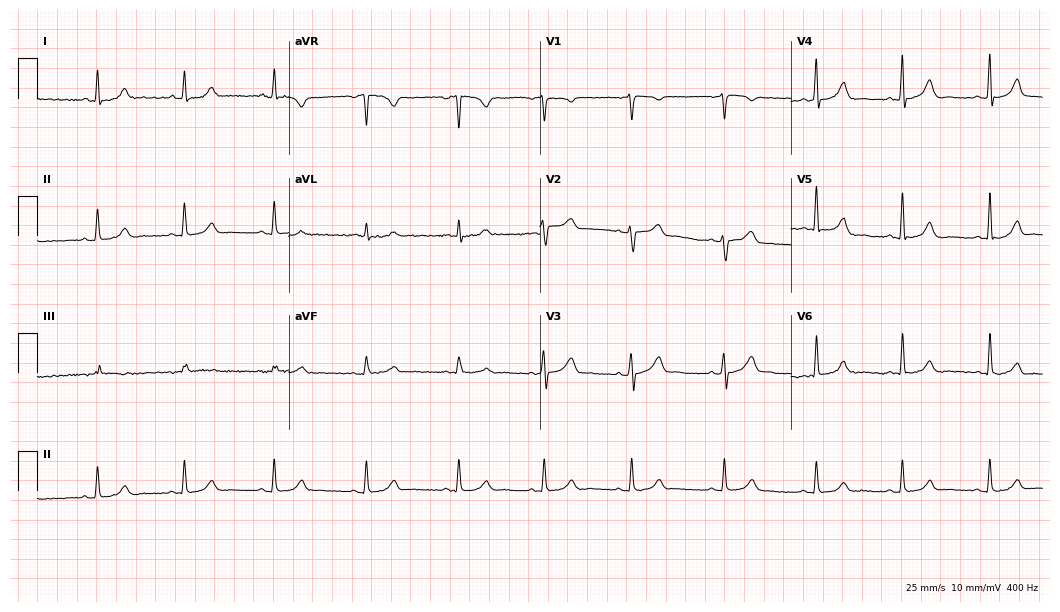
ECG (10.2-second recording at 400 Hz) — a 42-year-old female patient. Labelled as a normal ECG.